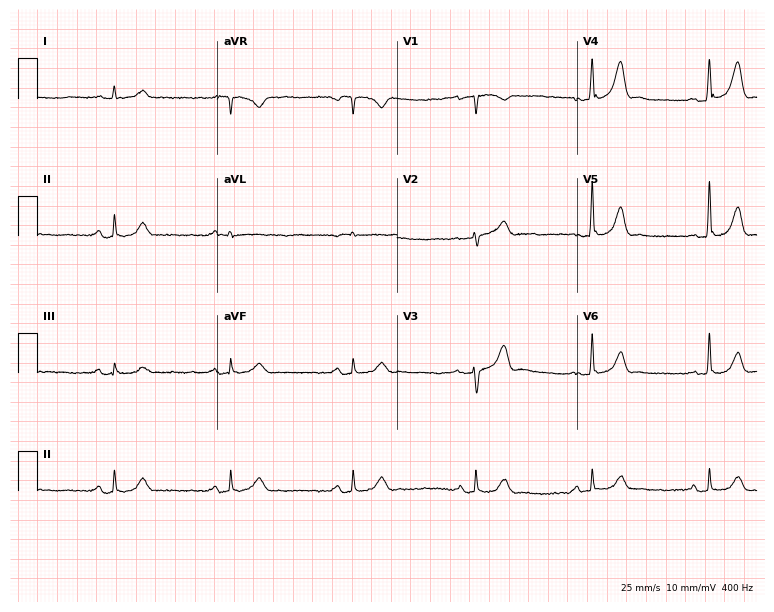
12-lead ECG (7.3-second recording at 400 Hz) from a female patient, 79 years old. Labelled as a normal ECG.